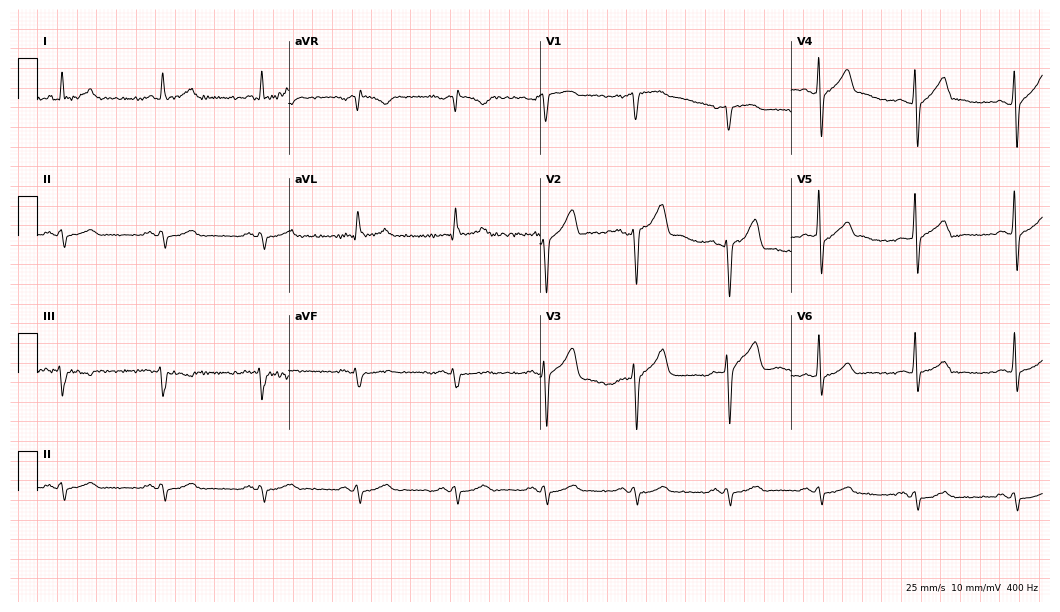
Resting 12-lead electrocardiogram (10.2-second recording at 400 Hz). Patient: a 53-year-old male. None of these six findings is recorded: first-degree AV block, right bundle branch block, left bundle branch block, sinus bradycardia, atrial fibrillation, sinus tachycardia.